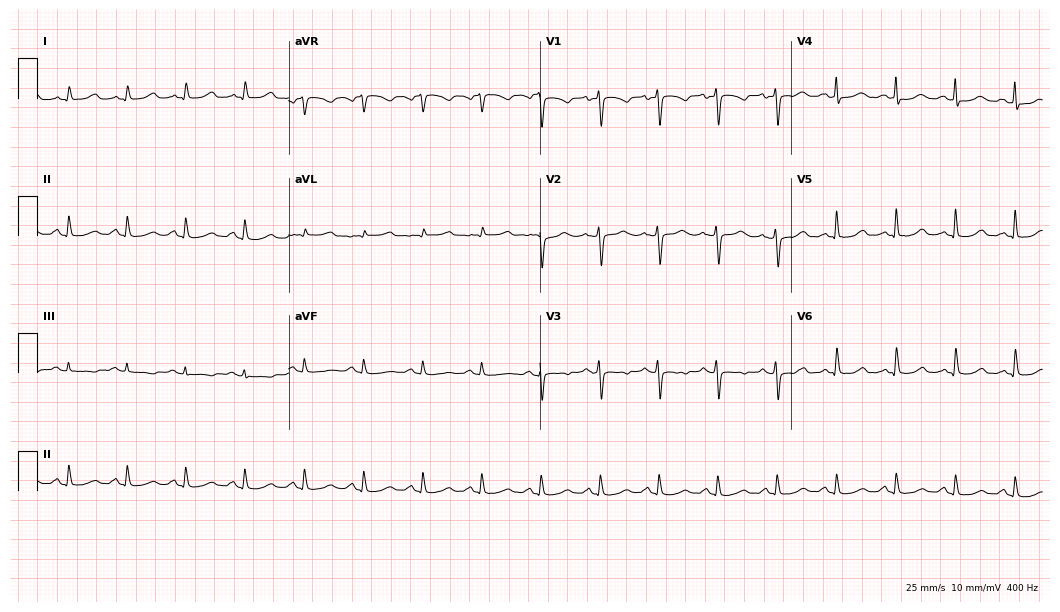
ECG — a woman, 50 years old. Labelled as a normal ECG.